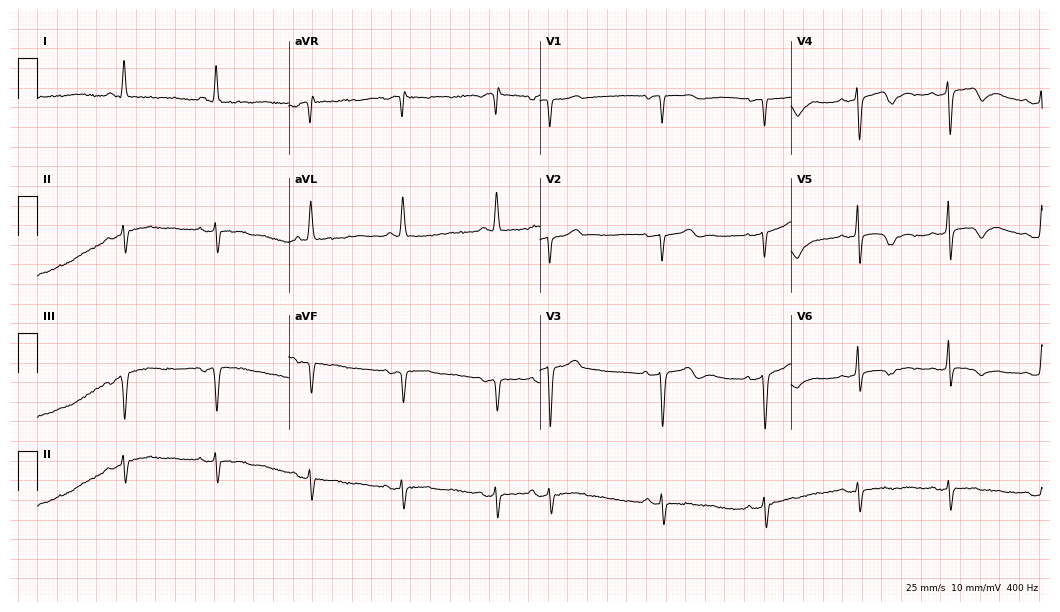
12-lead ECG (10.2-second recording at 400 Hz) from a 76-year-old woman. Screened for six findings — first-degree AV block, right bundle branch block (RBBB), left bundle branch block (LBBB), sinus bradycardia, atrial fibrillation (AF), sinus tachycardia — none is recorded.